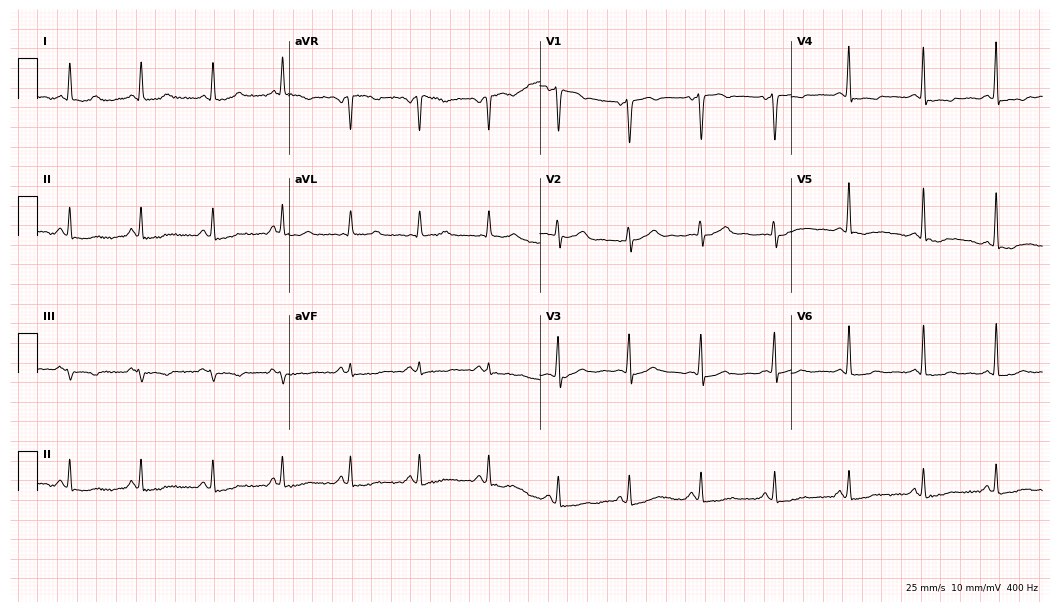
Electrocardiogram, a female, 46 years old. Of the six screened findings (first-degree AV block, right bundle branch block (RBBB), left bundle branch block (LBBB), sinus bradycardia, atrial fibrillation (AF), sinus tachycardia), none is recorded. Findings outside these six are not listed.